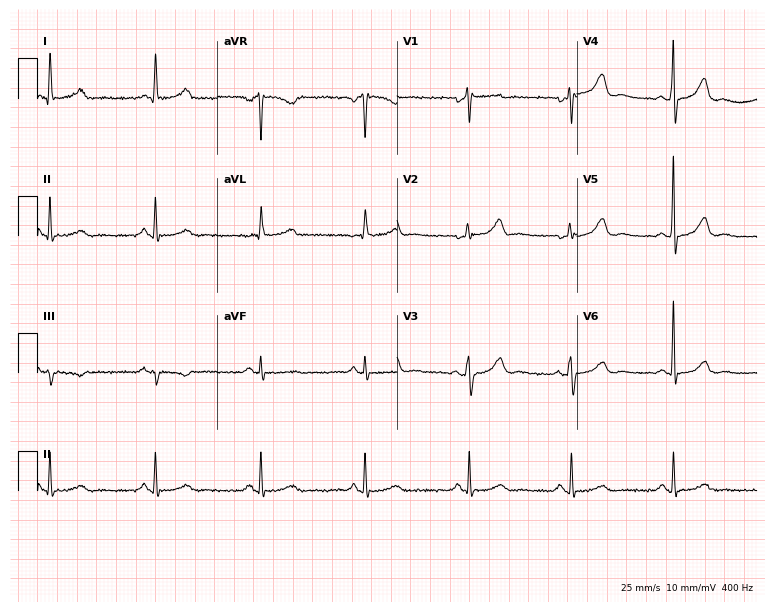
Standard 12-lead ECG recorded from a male patient, 49 years old (7.3-second recording at 400 Hz). Read as a normal ECG.